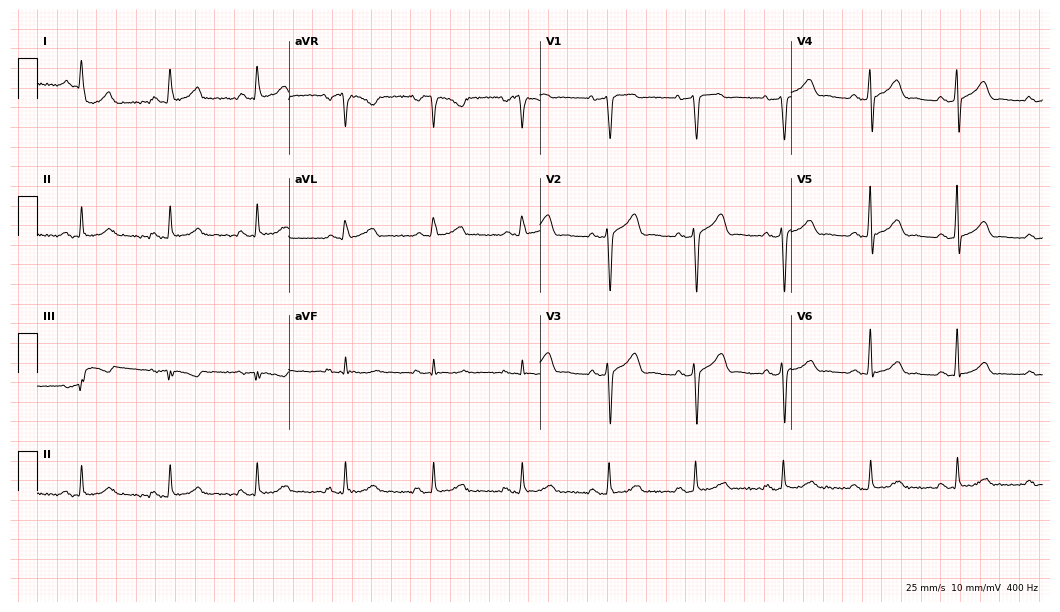
Electrocardiogram (10.2-second recording at 400 Hz), a 61-year-old female patient. Overall reading on record: normal ECG.